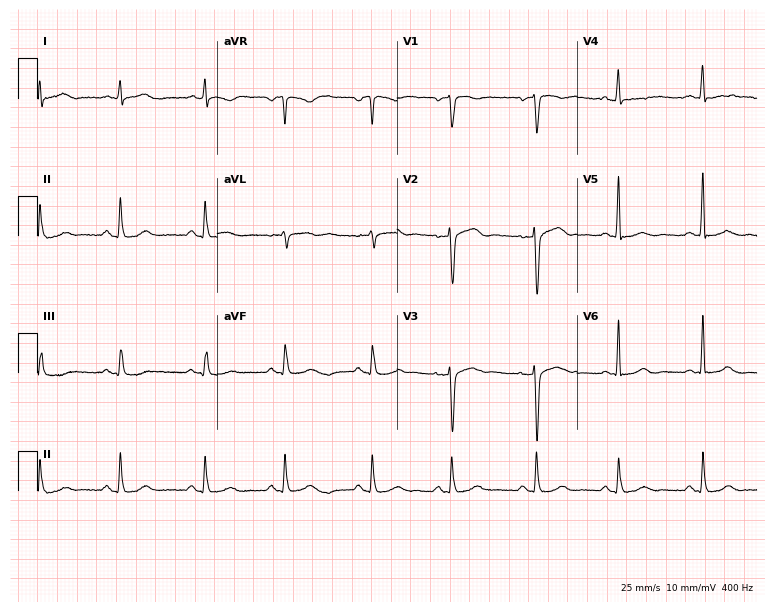
12-lead ECG from a female patient, 36 years old. Recorded interpretation: within normal limits.